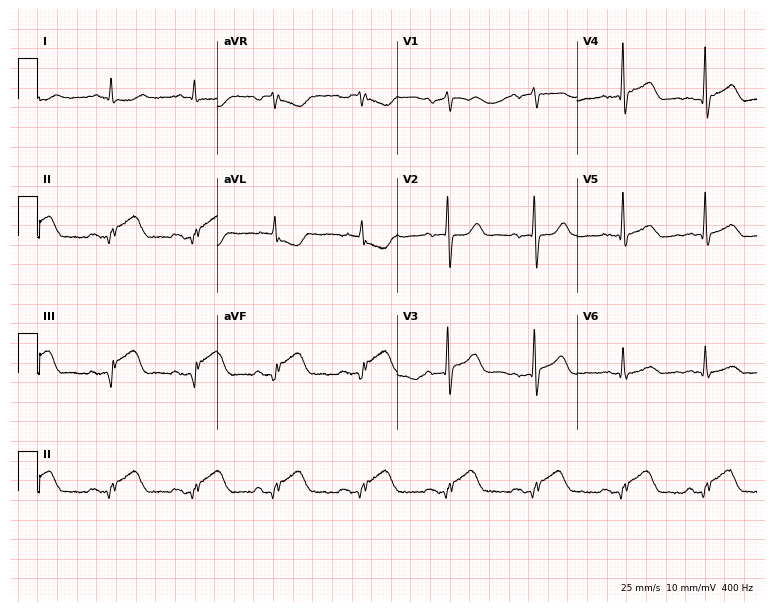
Electrocardiogram (7.3-second recording at 400 Hz), a male patient, 72 years old. Of the six screened findings (first-degree AV block, right bundle branch block, left bundle branch block, sinus bradycardia, atrial fibrillation, sinus tachycardia), none is recorded. Only these six findings were labelled.